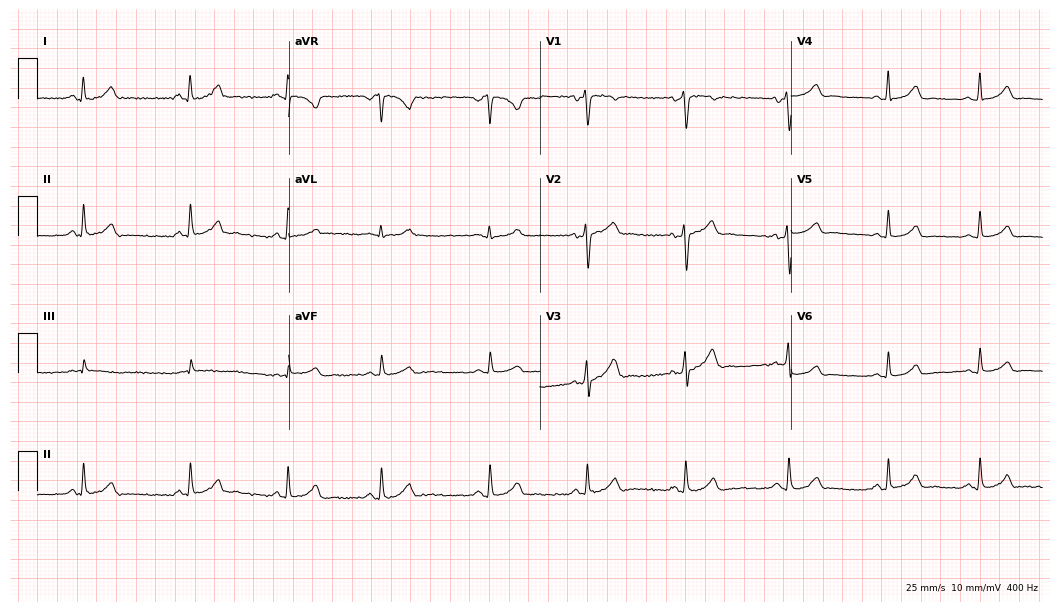
ECG — a 30-year-old female. Labelled as a normal ECG.